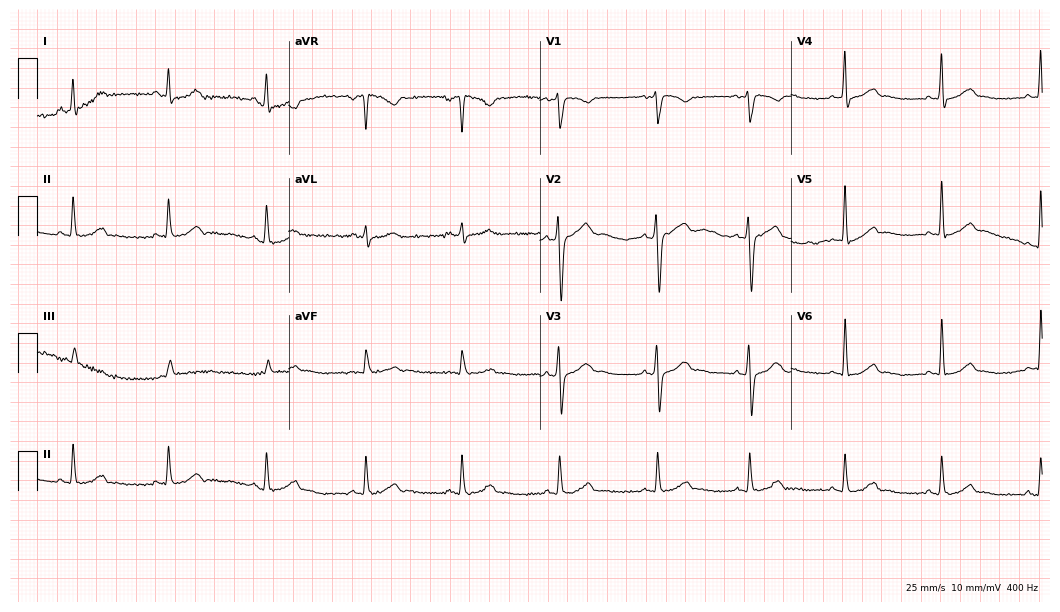
12-lead ECG from a female patient, 30 years old. Labelled as a normal ECG.